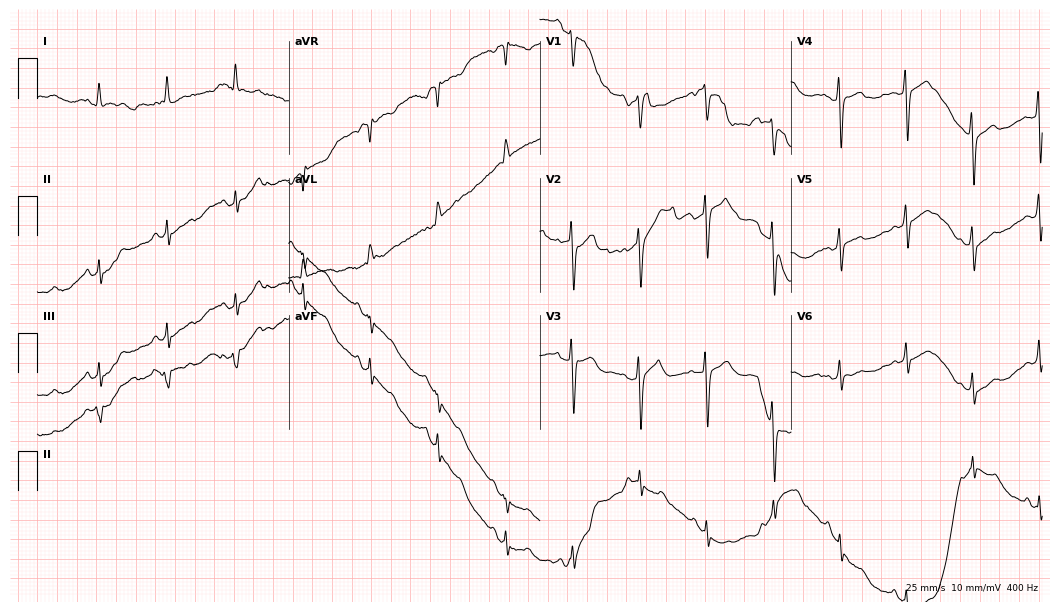
Electrocardiogram (10.2-second recording at 400 Hz), a 50-year-old woman. Of the six screened findings (first-degree AV block, right bundle branch block (RBBB), left bundle branch block (LBBB), sinus bradycardia, atrial fibrillation (AF), sinus tachycardia), none is recorded. Findings outside these six are not listed.